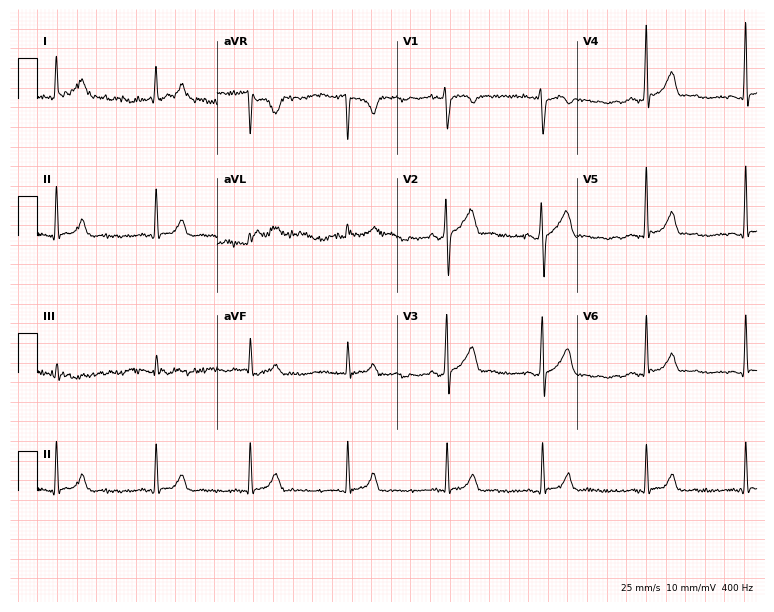
Resting 12-lead electrocardiogram (7.3-second recording at 400 Hz). Patient: a 25-year-old man. Read as a normal ECG.